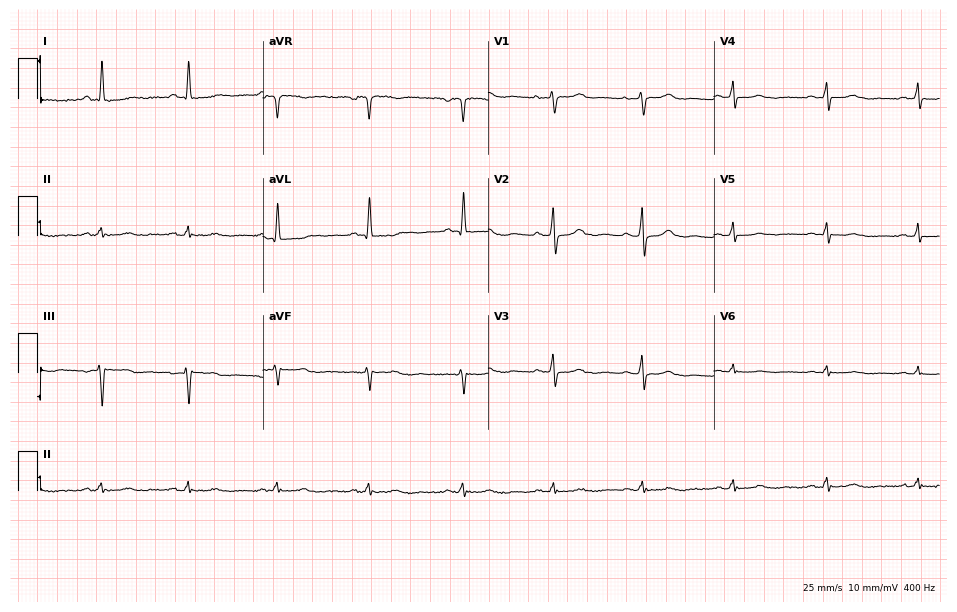
12-lead ECG from a female patient, 60 years old (9.2-second recording at 400 Hz). Recorded interpretation: within normal limits.